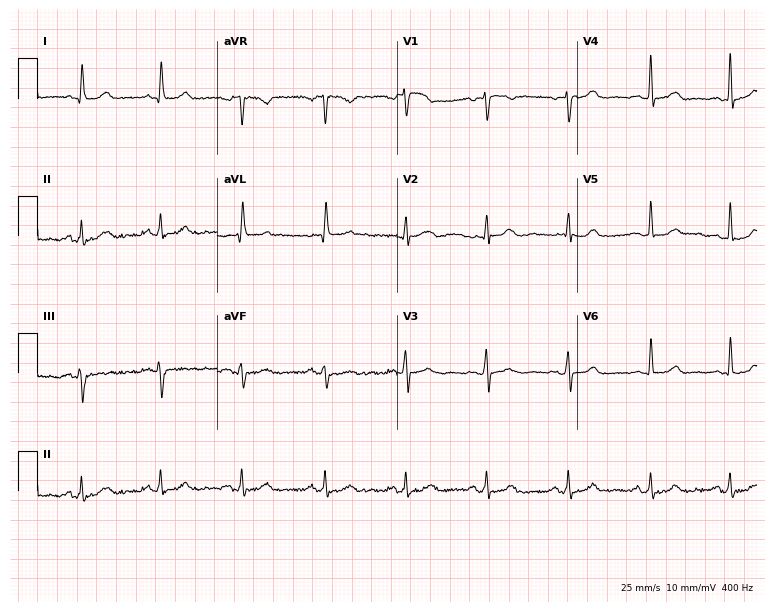
12-lead ECG from a female, 57 years old. No first-degree AV block, right bundle branch block, left bundle branch block, sinus bradycardia, atrial fibrillation or sinus tachycardia recorded for this tracing.